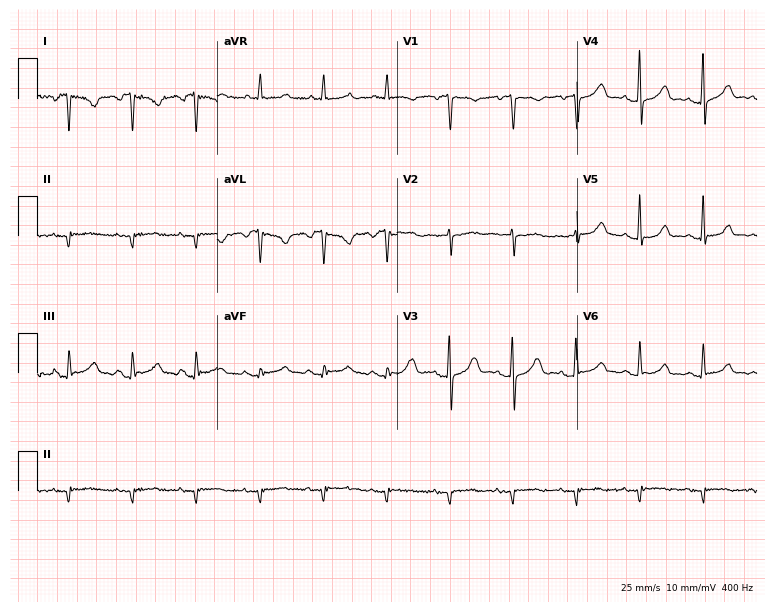
Electrocardiogram (7.3-second recording at 400 Hz), a 55-year-old female. Of the six screened findings (first-degree AV block, right bundle branch block, left bundle branch block, sinus bradycardia, atrial fibrillation, sinus tachycardia), none is recorded.